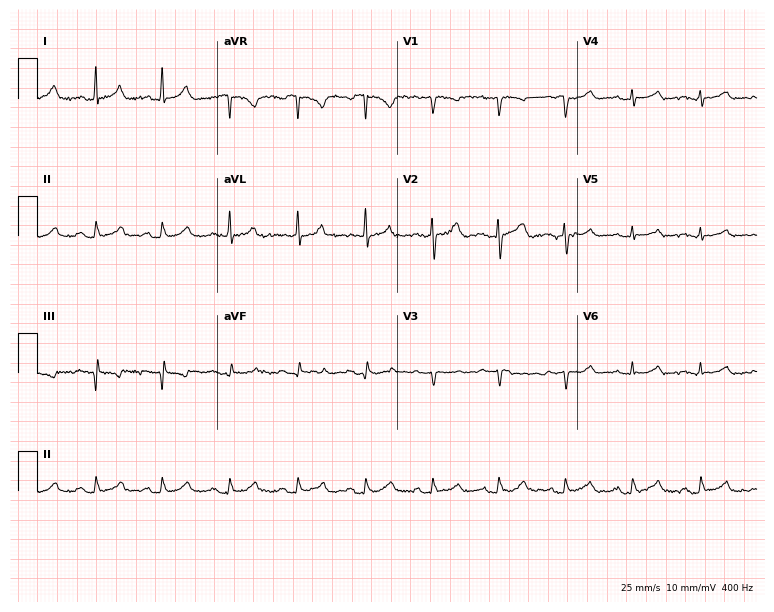
12-lead ECG from a woman, 59 years old (7.3-second recording at 400 Hz). Recorded interpretation: within normal limits.